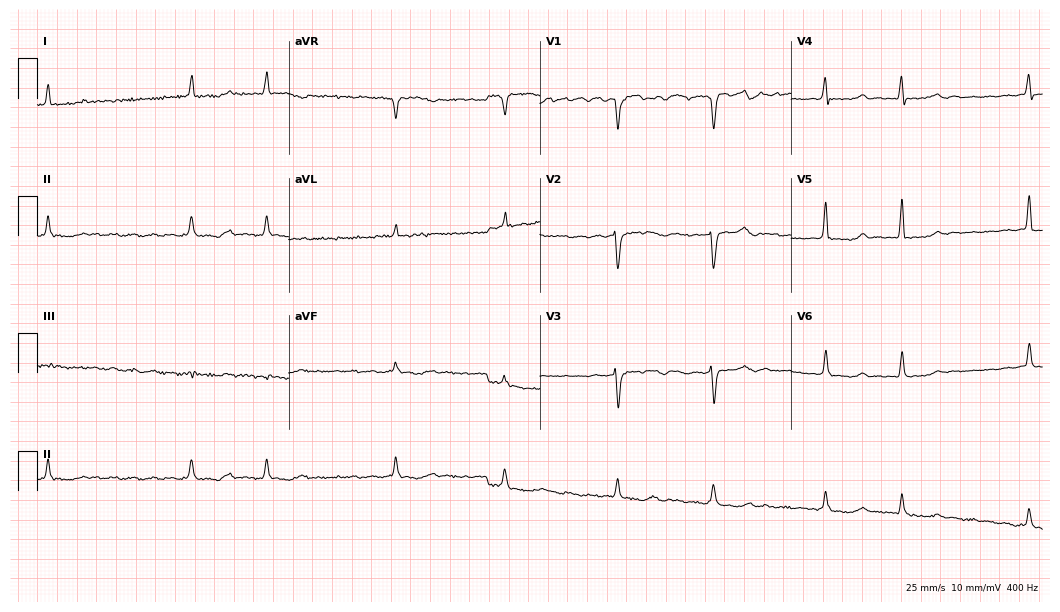
12-lead ECG from a woman, 52 years old. Shows atrial fibrillation.